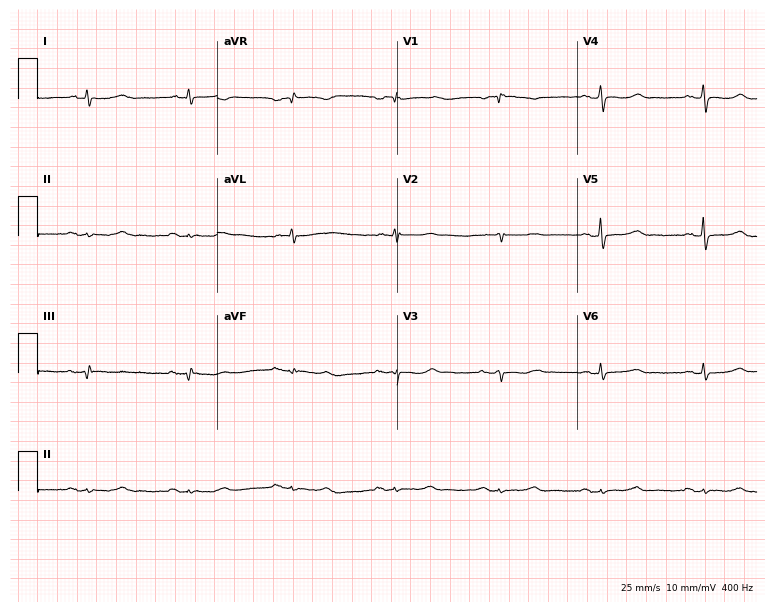
12-lead ECG from a woman, 60 years old. Shows sinus bradycardia (a sinus rate of 50 beats per minute or less).